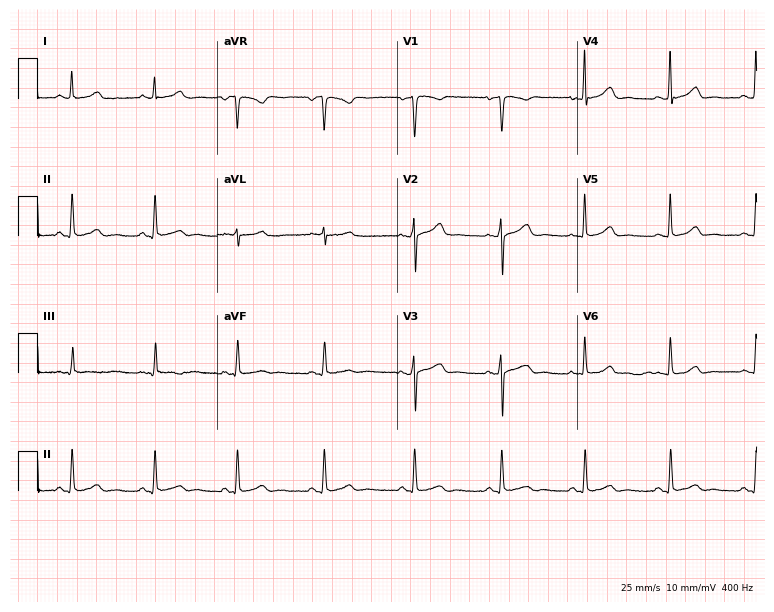
Resting 12-lead electrocardiogram. Patient: a woman, 38 years old. Read as a normal ECG.